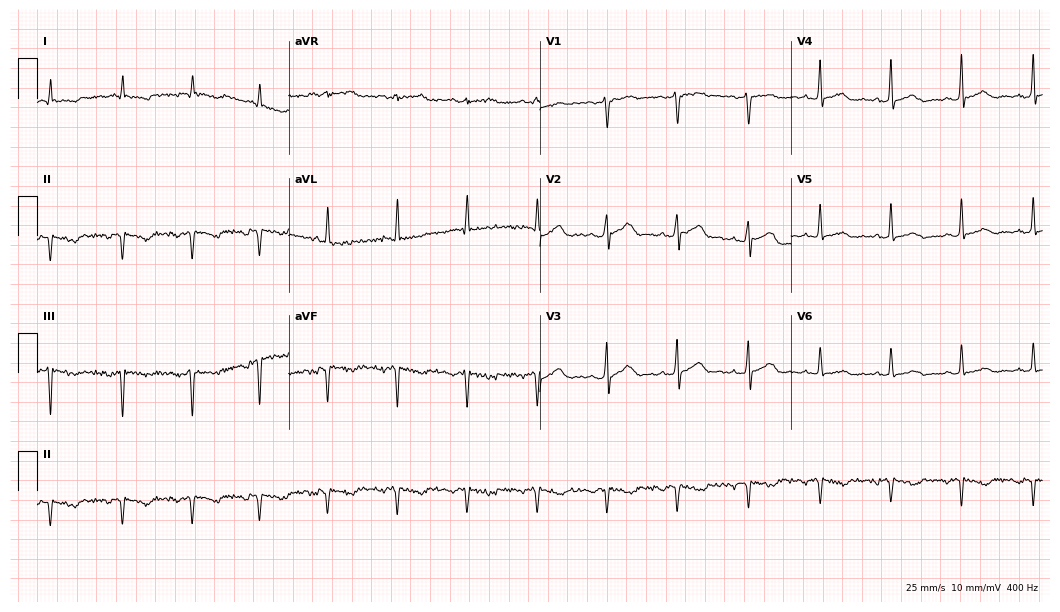
12-lead ECG (10.2-second recording at 400 Hz) from a 40-year-old male patient. Screened for six findings — first-degree AV block, right bundle branch block, left bundle branch block, sinus bradycardia, atrial fibrillation, sinus tachycardia — none is recorded.